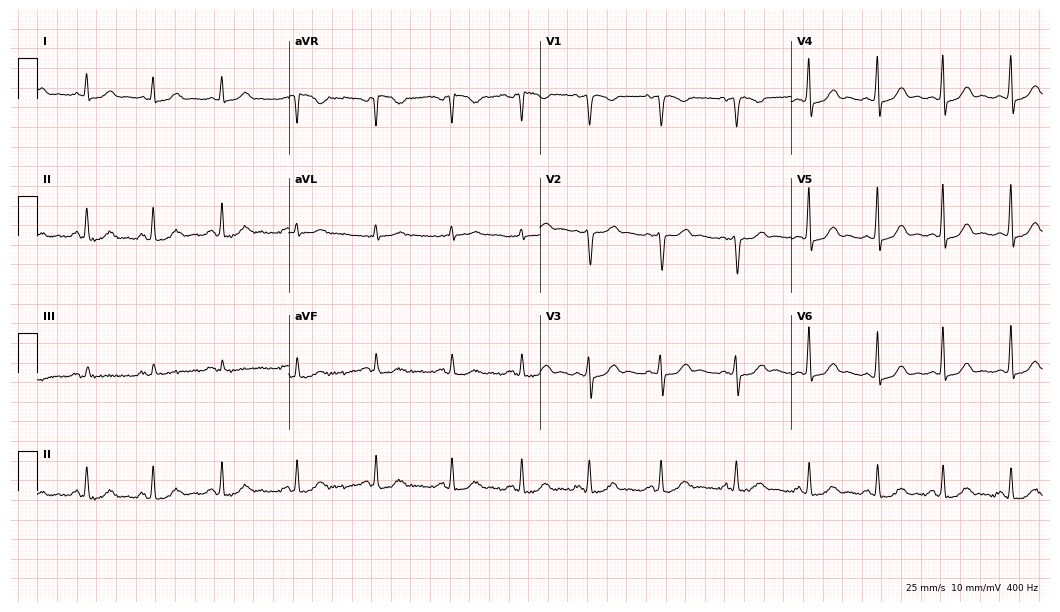
12-lead ECG from a female, 32 years old (10.2-second recording at 400 Hz). Recorded interpretation: within normal limits.